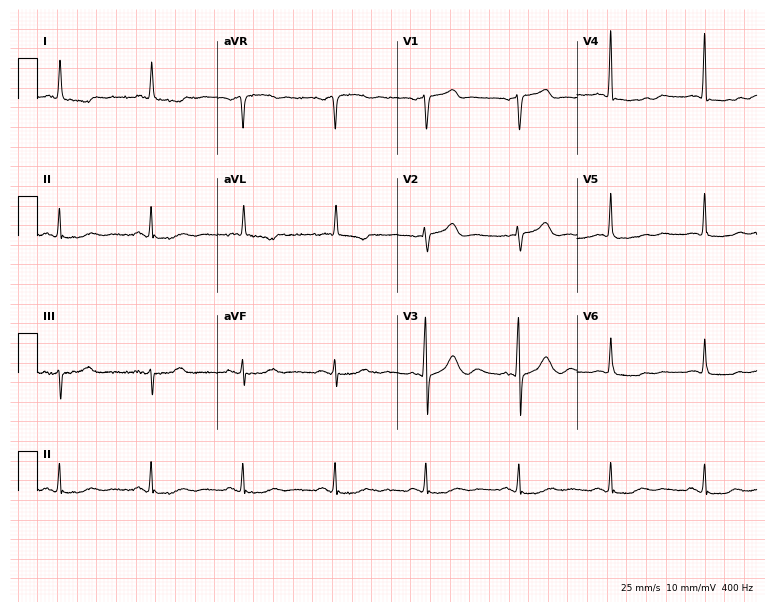
12-lead ECG from an 82-year-old woman (7.3-second recording at 400 Hz). No first-degree AV block, right bundle branch block, left bundle branch block, sinus bradycardia, atrial fibrillation or sinus tachycardia recorded for this tracing. Findings outside these six are not listed.